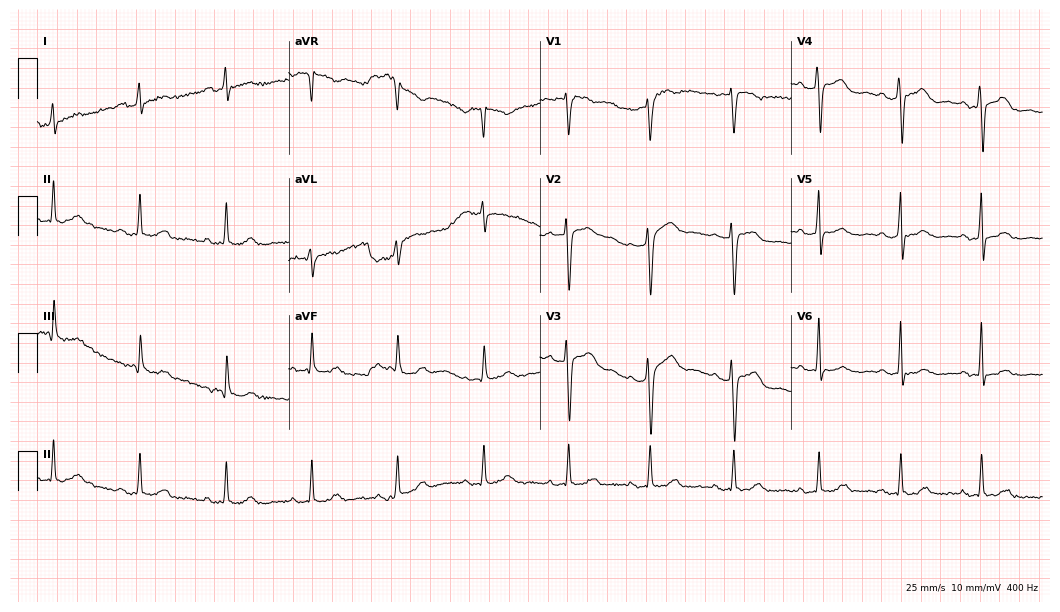
Standard 12-lead ECG recorded from a female patient, 56 years old. Read as a normal ECG.